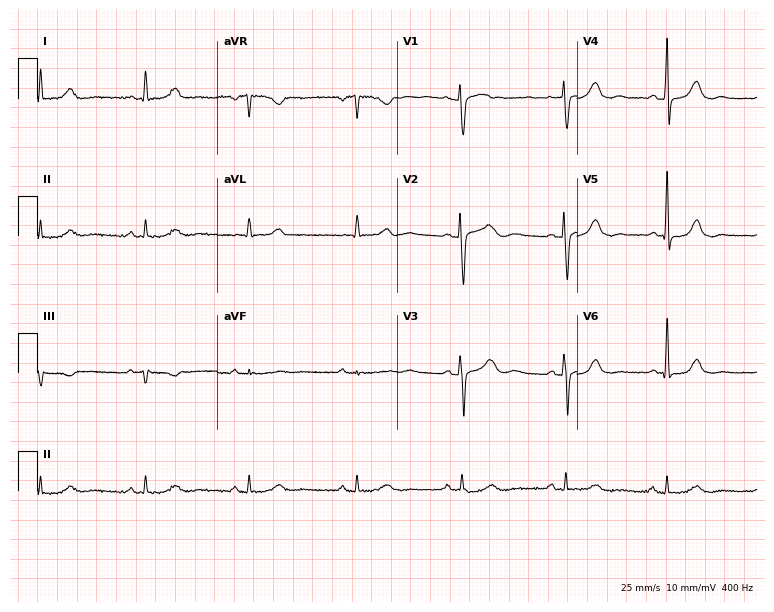
12-lead ECG (7.3-second recording at 400 Hz) from a female patient, 55 years old. Screened for six findings — first-degree AV block, right bundle branch block, left bundle branch block, sinus bradycardia, atrial fibrillation, sinus tachycardia — none is recorded. Findings outside these six are not listed.